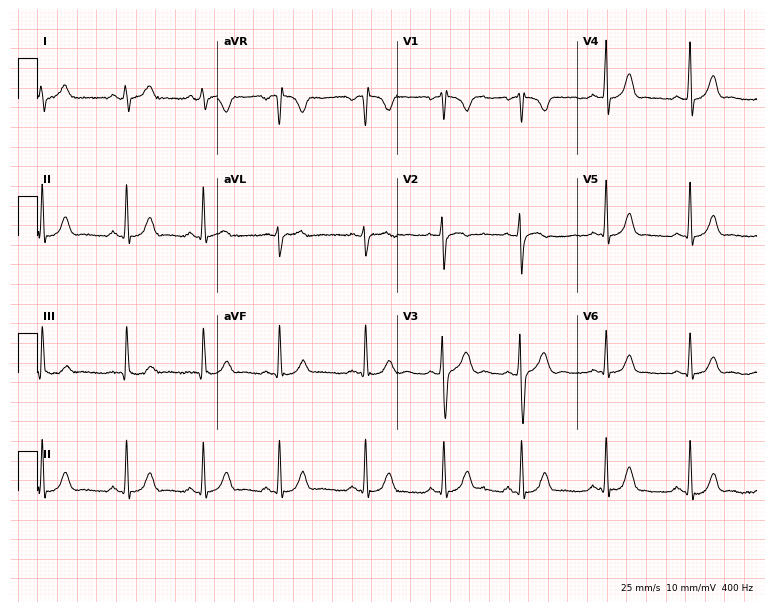
Electrocardiogram (7.3-second recording at 400 Hz), a female patient, 18 years old. Of the six screened findings (first-degree AV block, right bundle branch block (RBBB), left bundle branch block (LBBB), sinus bradycardia, atrial fibrillation (AF), sinus tachycardia), none is recorded. Findings outside these six are not listed.